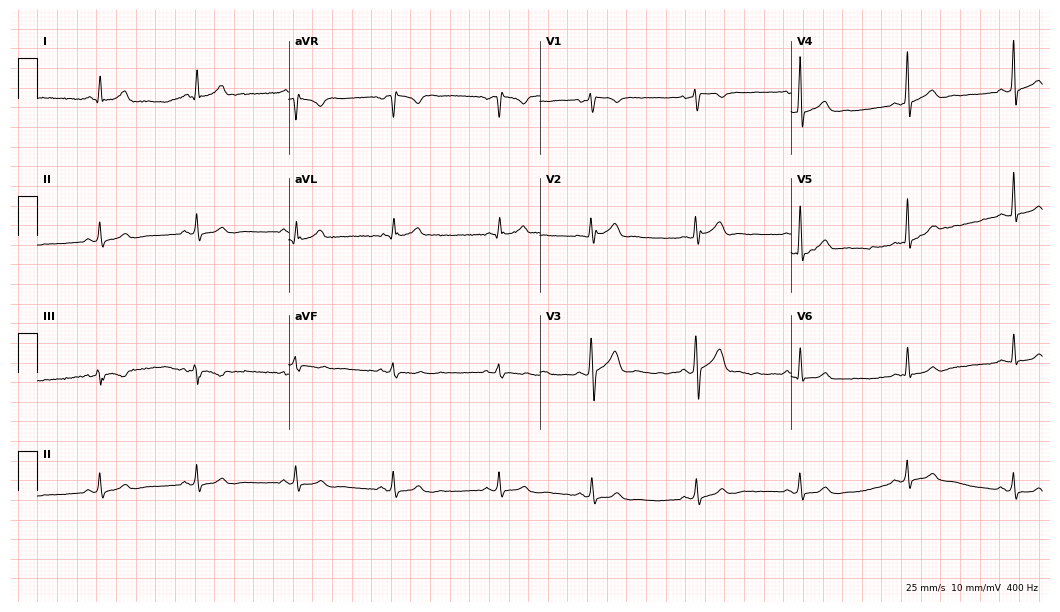
12-lead ECG from a male patient, 35 years old (10.2-second recording at 400 Hz). Recorded interpretation: within normal limits.